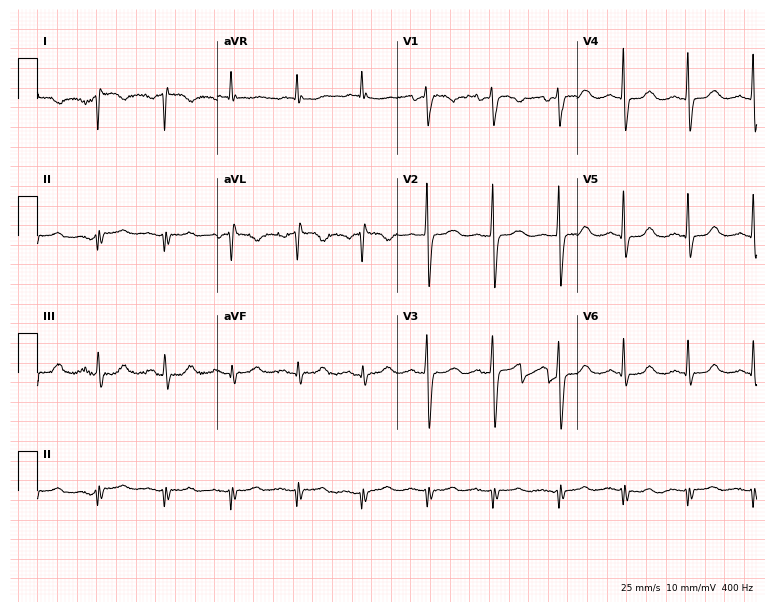
Resting 12-lead electrocardiogram. Patient: a female, 56 years old. None of these six findings is recorded: first-degree AV block, right bundle branch block, left bundle branch block, sinus bradycardia, atrial fibrillation, sinus tachycardia.